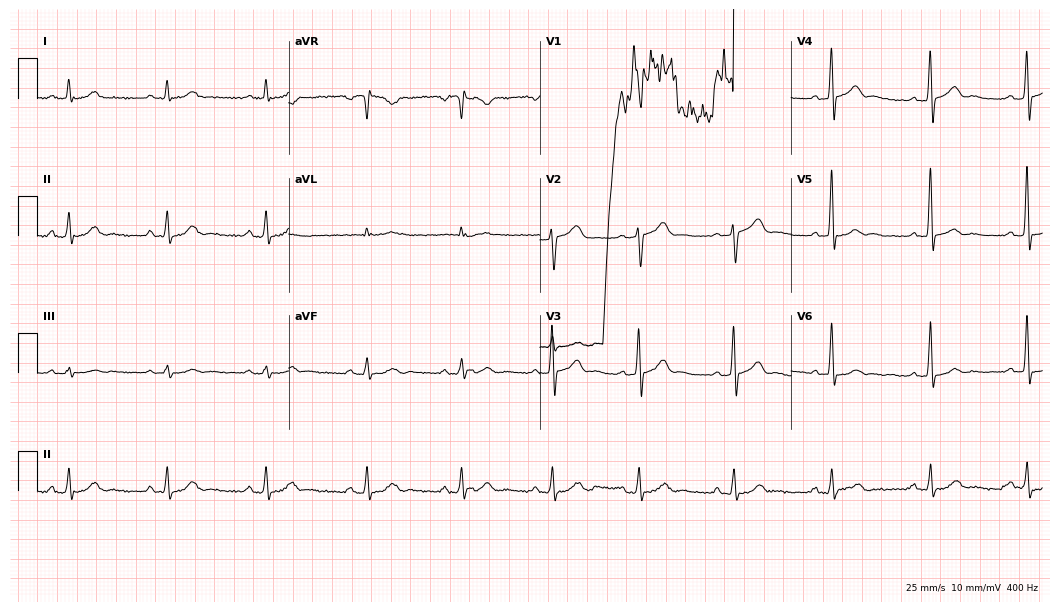
Standard 12-lead ECG recorded from a man, 56 years old (10.2-second recording at 400 Hz). None of these six findings is recorded: first-degree AV block, right bundle branch block, left bundle branch block, sinus bradycardia, atrial fibrillation, sinus tachycardia. Only these six findings were labelled.